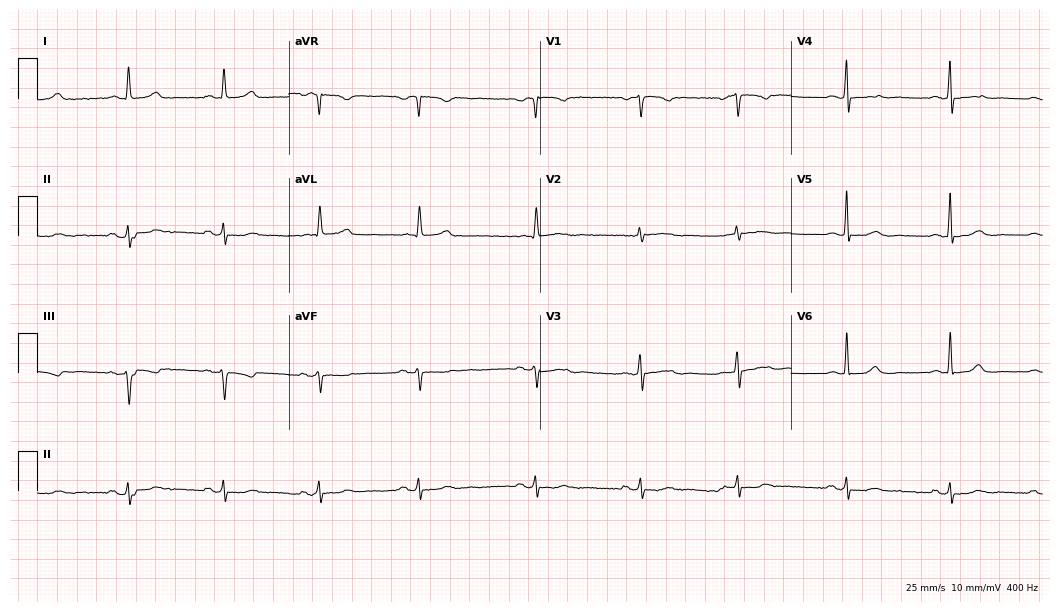
ECG — a 53-year-old female. Labelled as a normal ECG.